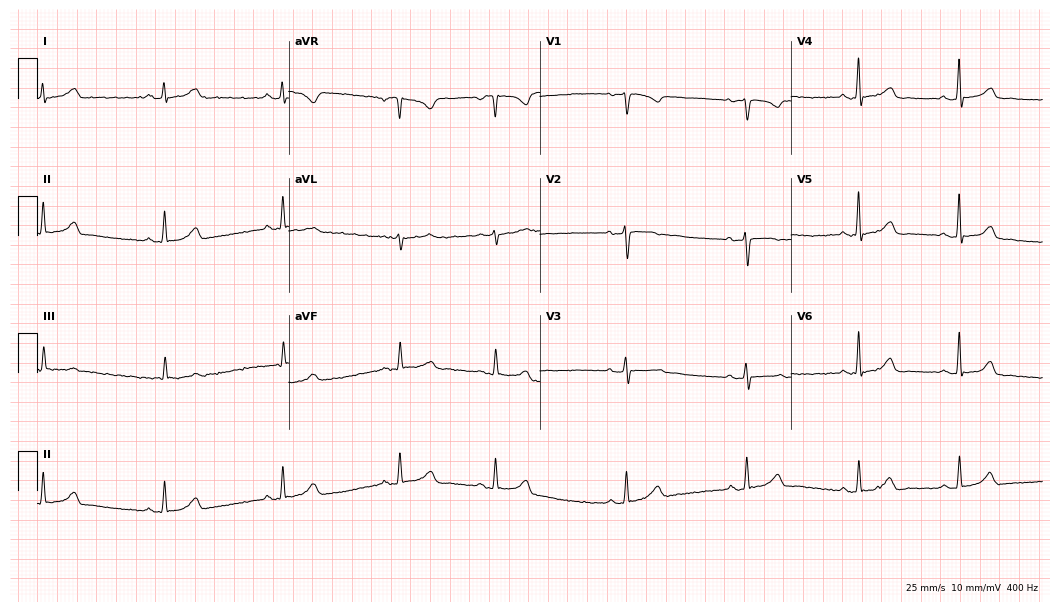
12-lead ECG from a 35-year-old female patient (10.2-second recording at 400 Hz). No first-degree AV block, right bundle branch block, left bundle branch block, sinus bradycardia, atrial fibrillation or sinus tachycardia recorded for this tracing. Findings outside these six are not listed.